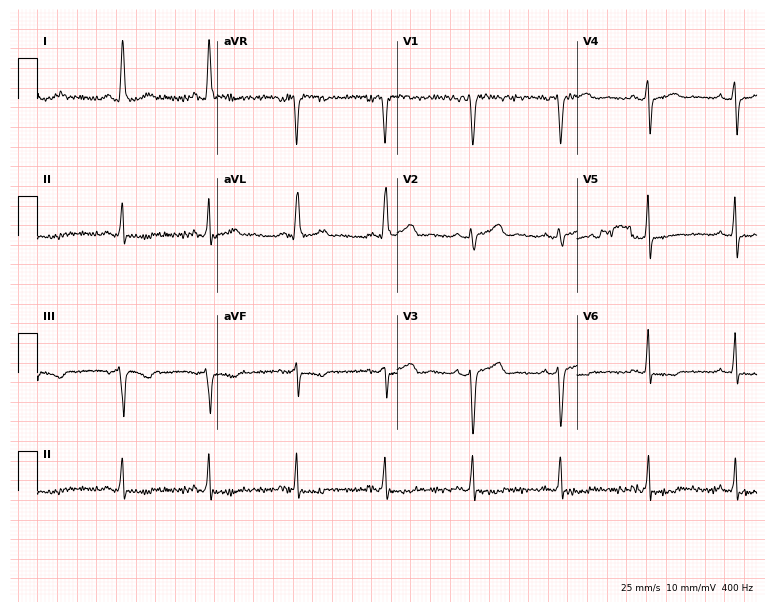
Standard 12-lead ECG recorded from a 53-year-old woman (7.3-second recording at 400 Hz). None of these six findings is recorded: first-degree AV block, right bundle branch block (RBBB), left bundle branch block (LBBB), sinus bradycardia, atrial fibrillation (AF), sinus tachycardia. Findings outside these six are not listed.